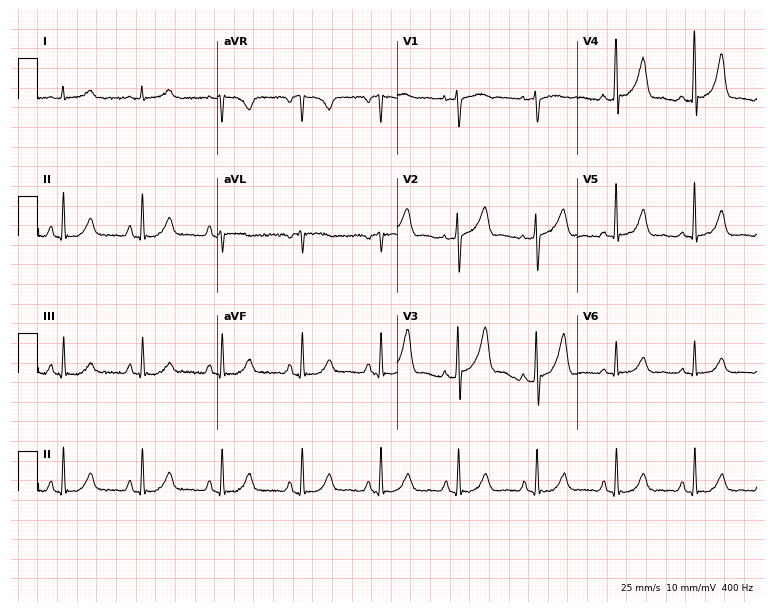
Standard 12-lead ECG recorded from a 66-year-old male patient (7.3-second recording at 400 Hz). Read as a normal ECG.